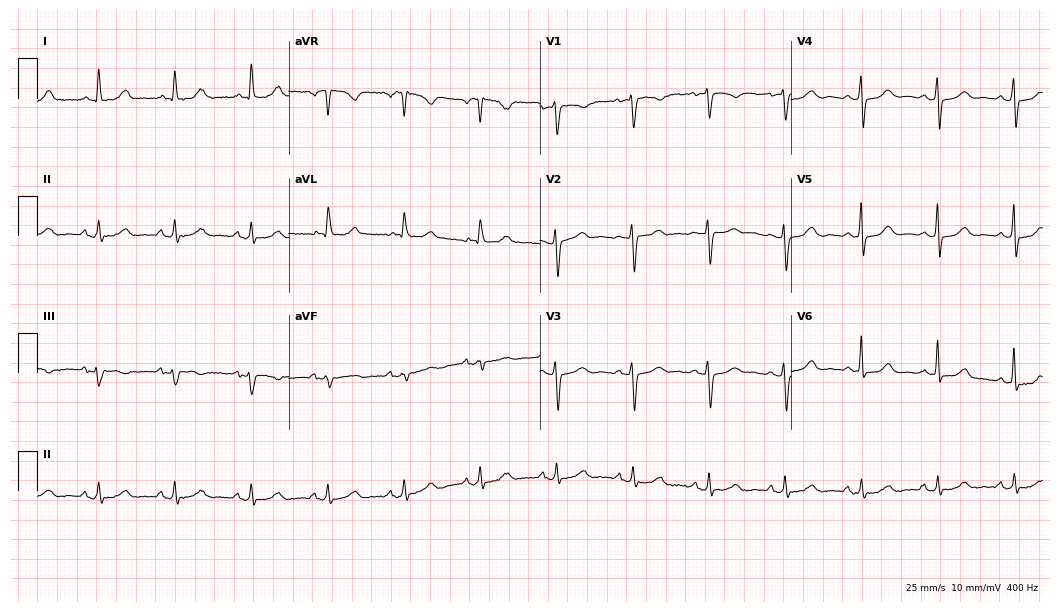
ECG (10.2-second recording at 400 Hz) — a 74-year-old female. Labelled as a normal ECG.